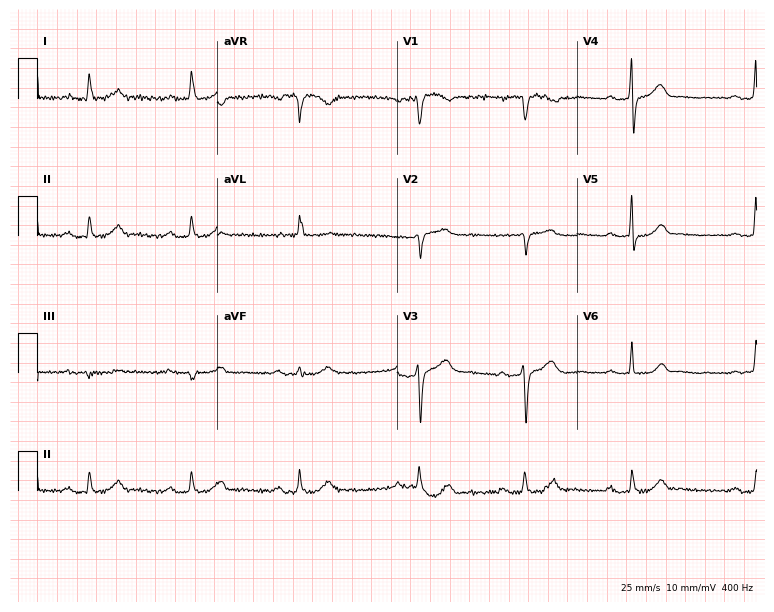
12-lead ECG (7.3-second recording at 400 Hz) from a 63-year-old female. Findings include first-degree AV block.